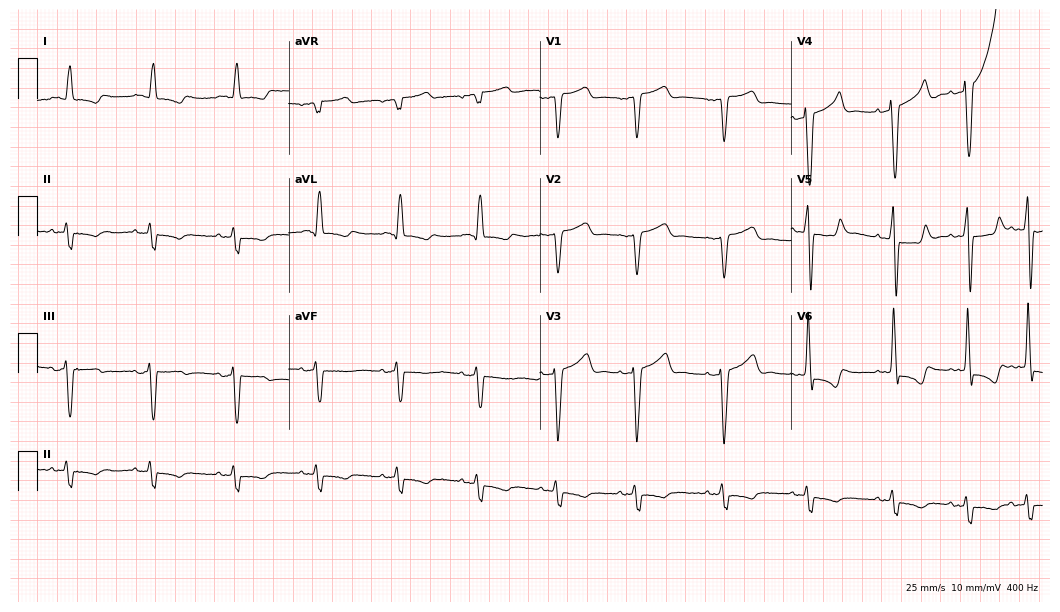
12-lead ECG from a 75-year-old male patient. No first-degree AV block, right bundle branch block, left bundle branch block, sinus bradycardia, atrial fibrillation or sinus tachycardia recorded for this tracing. Other findings, if any, are not listed.